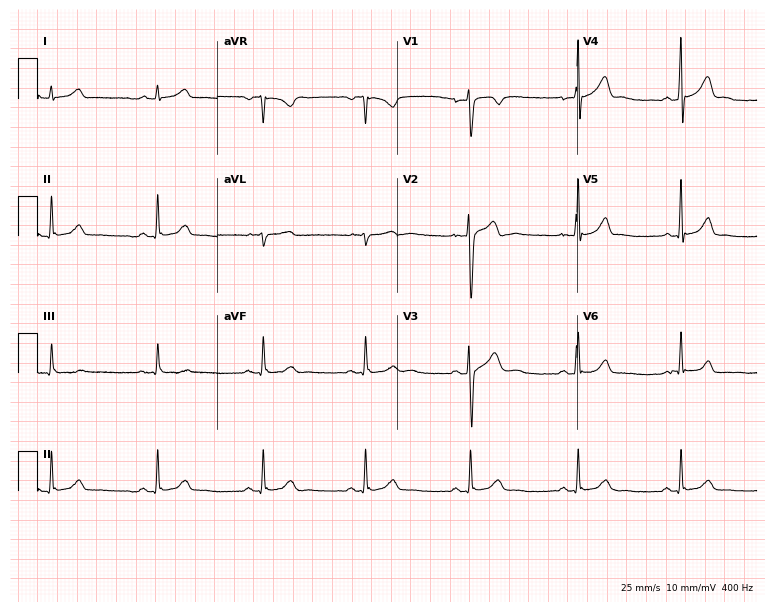
12-lead ECG from a 36-year-old male patient. Recorded interpretation: within normal limits.